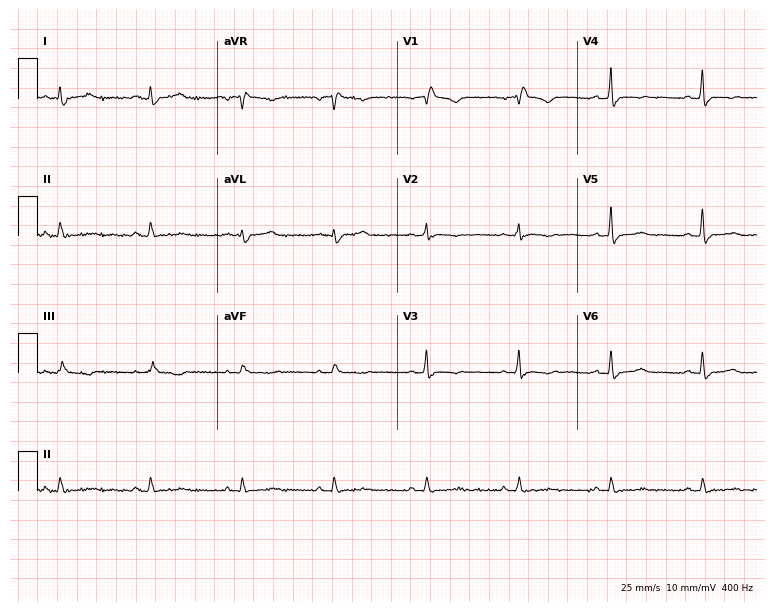
Resting 12-lead electrocardiogram. Patient: a female, 70 years old. The tracing shows right bundle branch block.